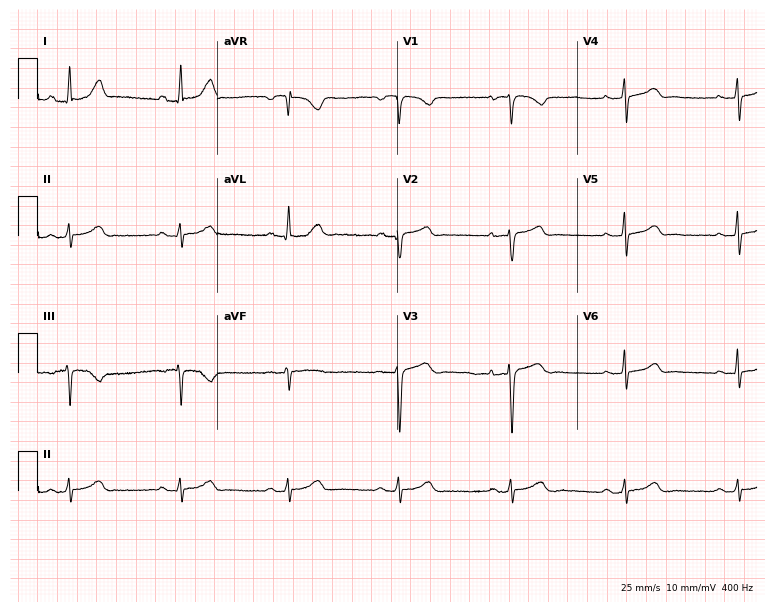
Electrocardiogram, a female, 48 years old. Overall reading on record: normal ECG.